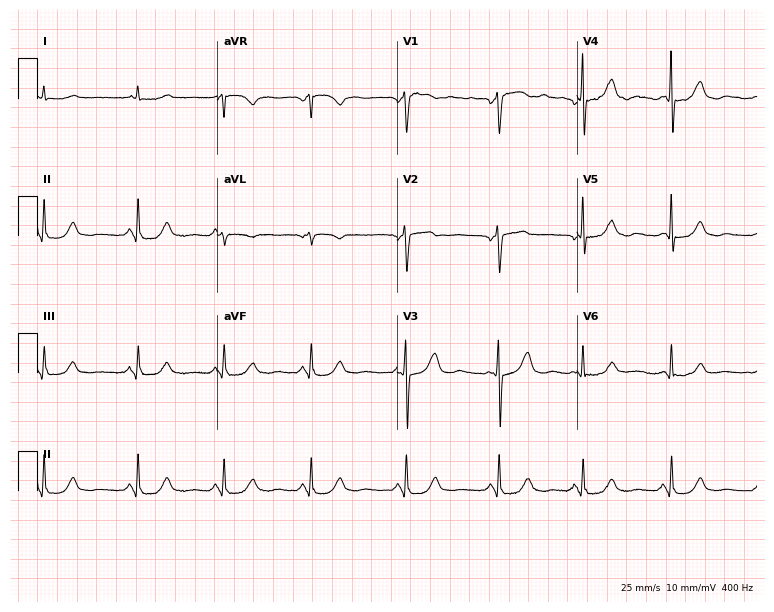
Standard 12-lead ECG recorded from a woman, 55 years old. None of these six findings is recorded: first-degree AV block, right bundle branch block, left bundle branch block, sinus bradycardia, atrial fibrillation, sinus tachycardia.